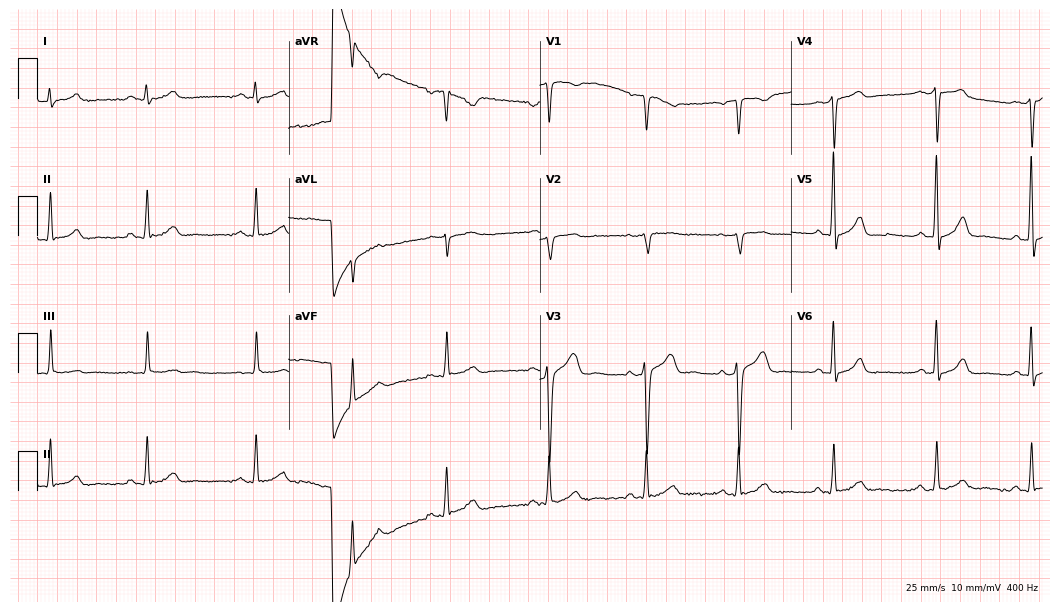
Resting 12-lead electrocardiogram. Patient: a male, 53 years old. None of these six findings is recorded: first-degree AV block, right bundle branch block, left bundle branch block, sinus bradycardia, atrial fibrillation, sinus tachycardia.